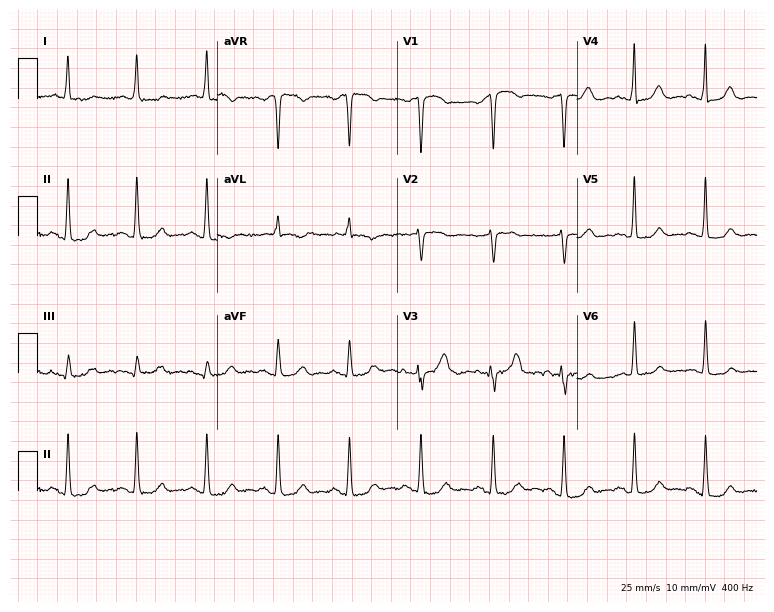
12-lead ECG from a female patient, 82 years old (7.3-second recording at 400 Hz). Recorded interpretation: within normal limits.